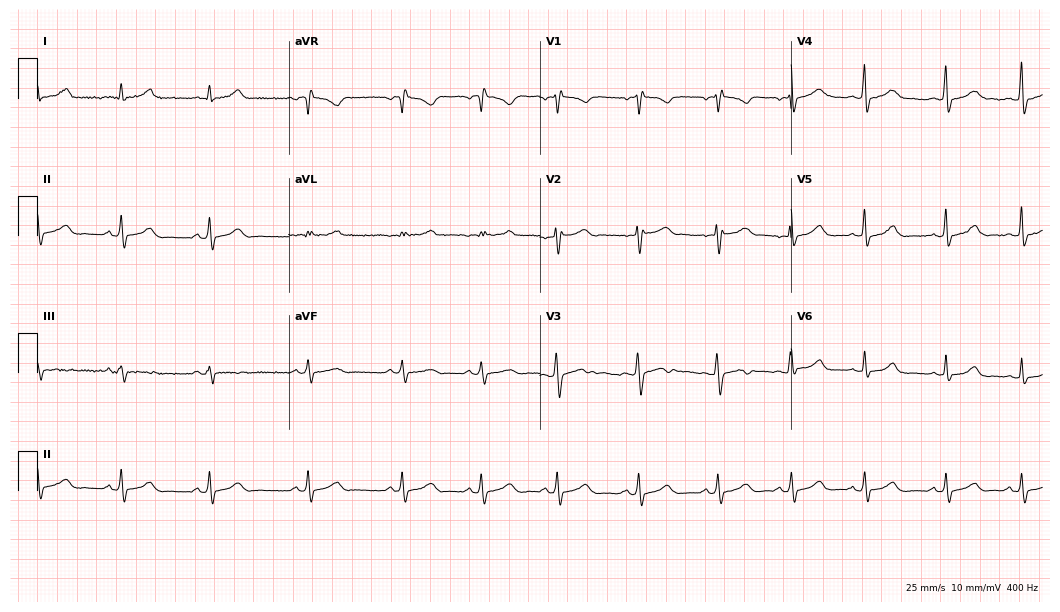
Resting 12-lead electrocardiogram. Patient: a female, 32 years old. None of these six findings is recorded: first-degree AV block, right bundle branch block (RBBB), left bundle branch block (LBBB), sinus bradycardia, atrial fibrillation (AF), sinus tachycardia.